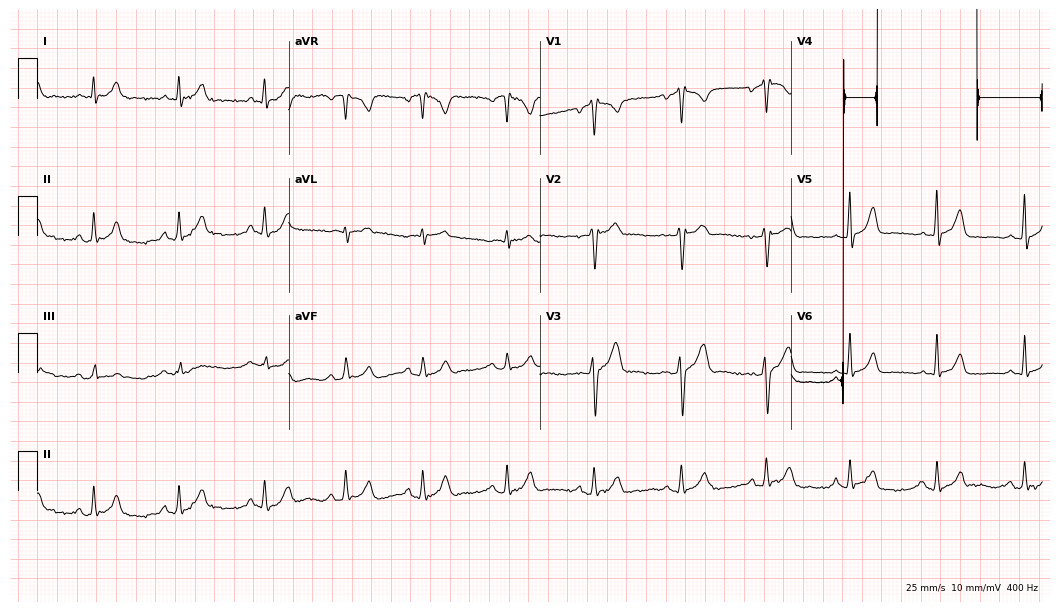
ECG — a 37-year-old man. Screened for six findings — first-degree AV block, right bundle branch block (RBBB), left bundle branch block (LBBB), sinus bradycardia, atrial fibrillation (AF), sinus tachycardia — none is recorded. Findings outside these six are not listed.